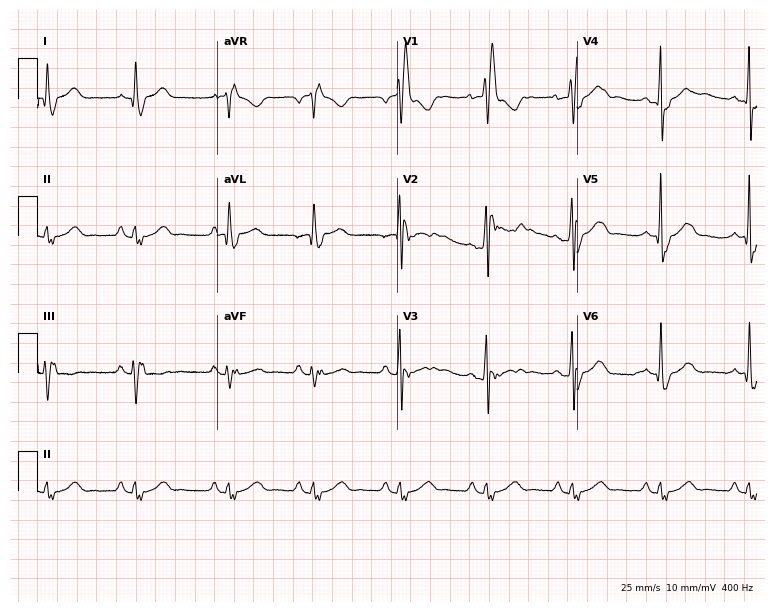
12-lead ECG from a man, 67 years old (7.3-second recording at 400 Hz). Shows right bundle branch block.